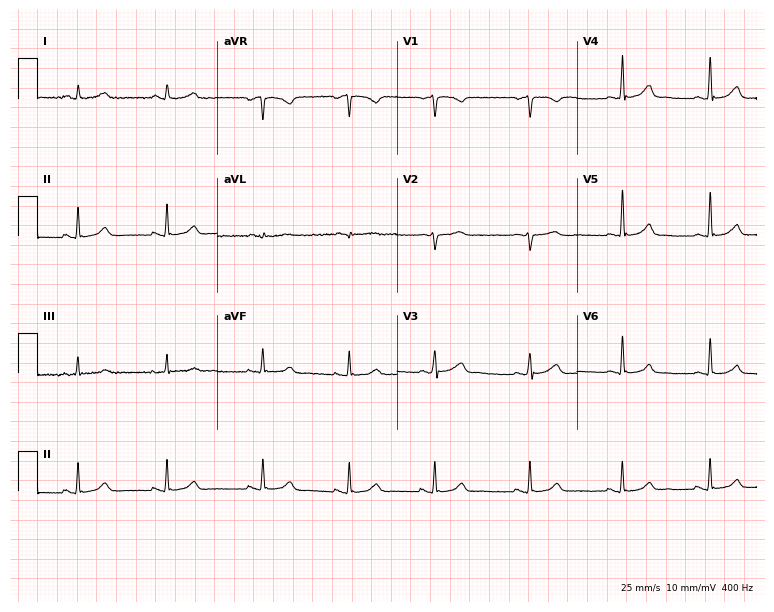
12-lead ECG from a 31-year-old woman. Labelled as a normal ECG.